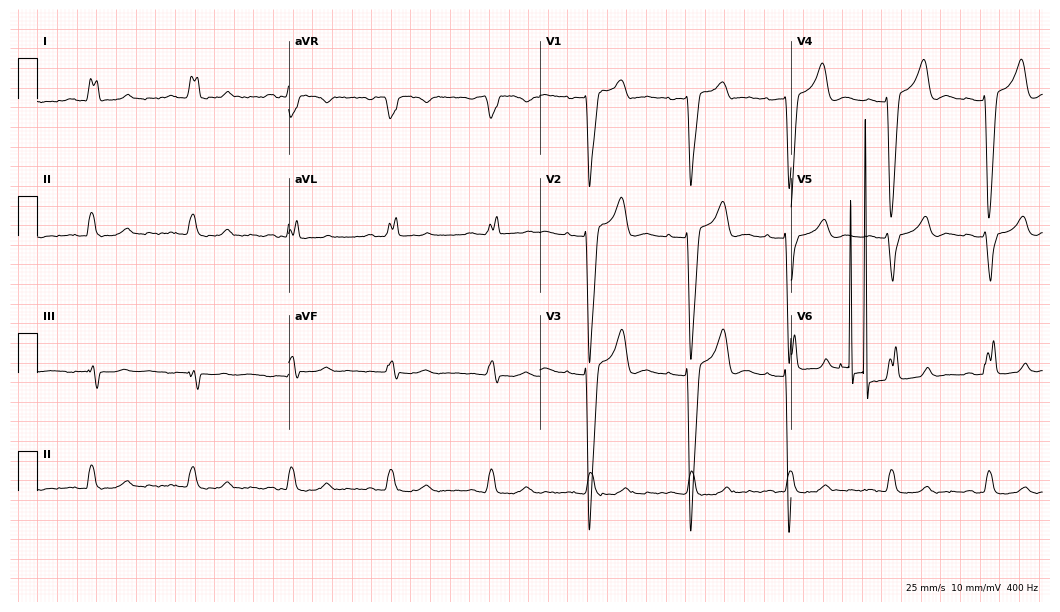
12-lead ECG (10.2-second recording at 400 Hz) from a female patient, 37 years old. Findings include first-degree AV block, left bundle branch block.